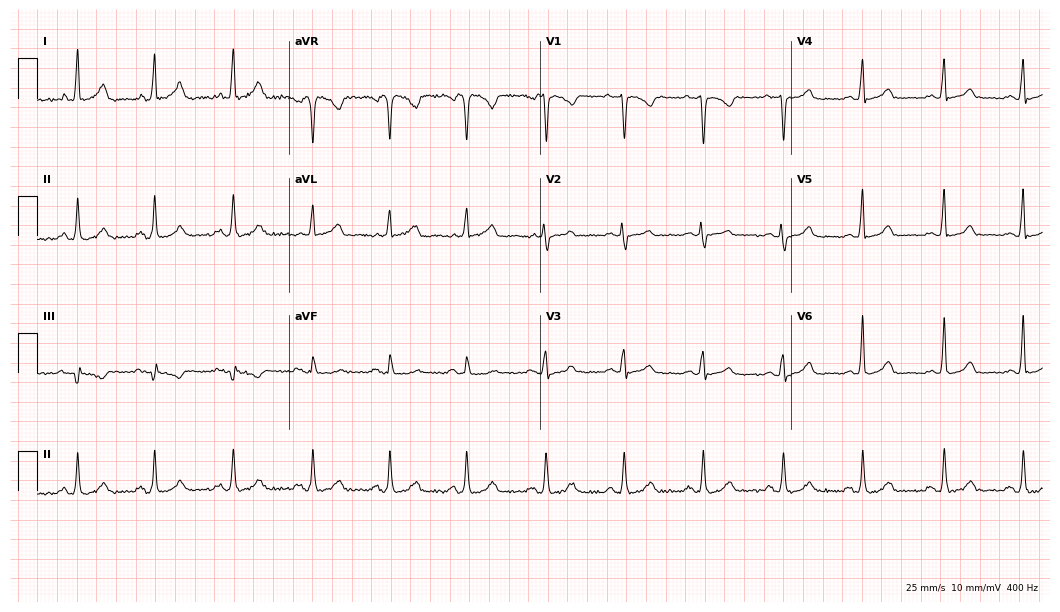
12-lead ECG from a female, 40 years old. No first-degree AV block, right bundle branch block (RBBB), left bundle branch block (LBBB), sinus bradycardia, atrial fibrillation (AF) or sinus tachycardia recorded for this tracing. Findings outside these six are not listed.